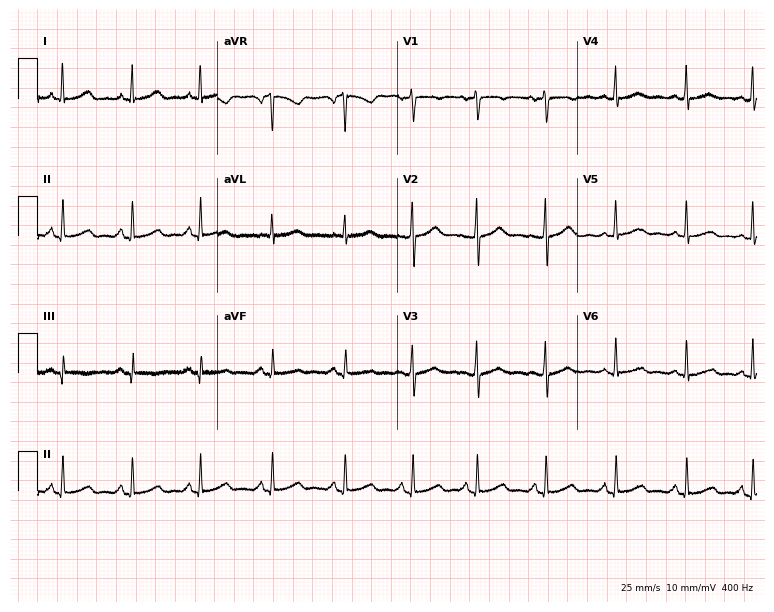
Standard 12-lead ECG recorded from a female patient, 34 years old. Read as a normal ECG.